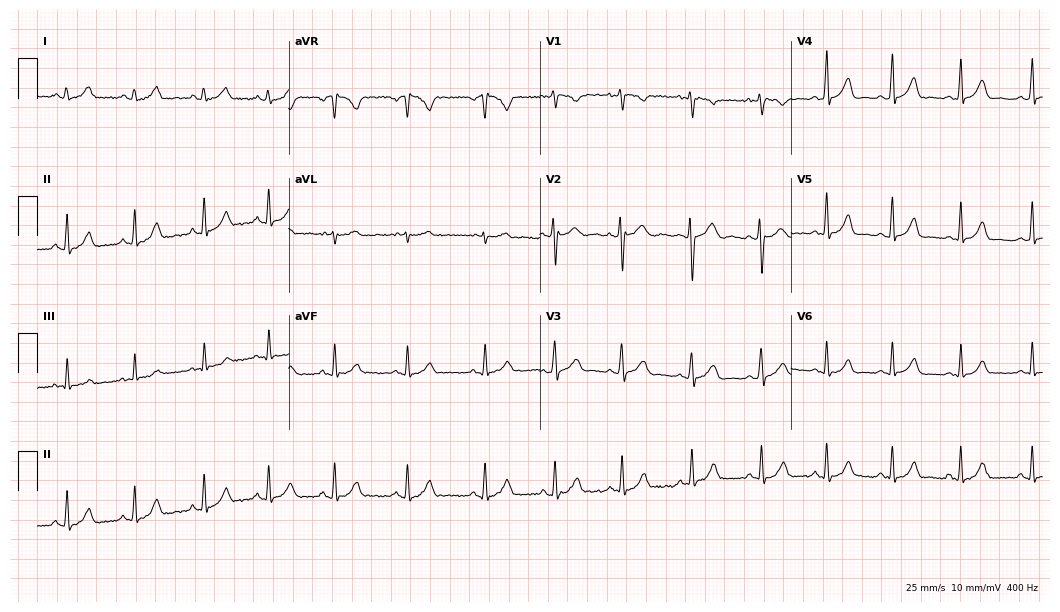
12-lead ECG from a woman, 18 years old. Labelled as a normal ECG.